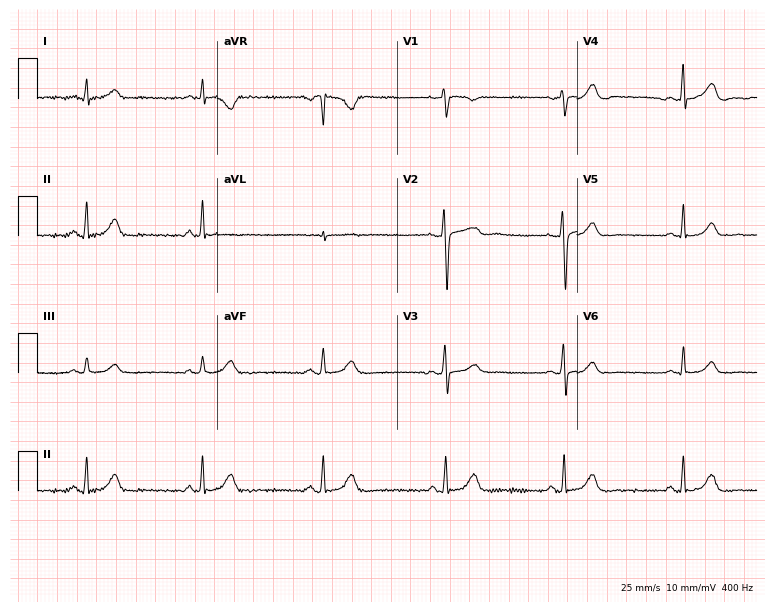
Electrocardiogram (7.3-second recording at 400 Hz), a female patient, 42 years old. Overall reading on record: normal ECG.